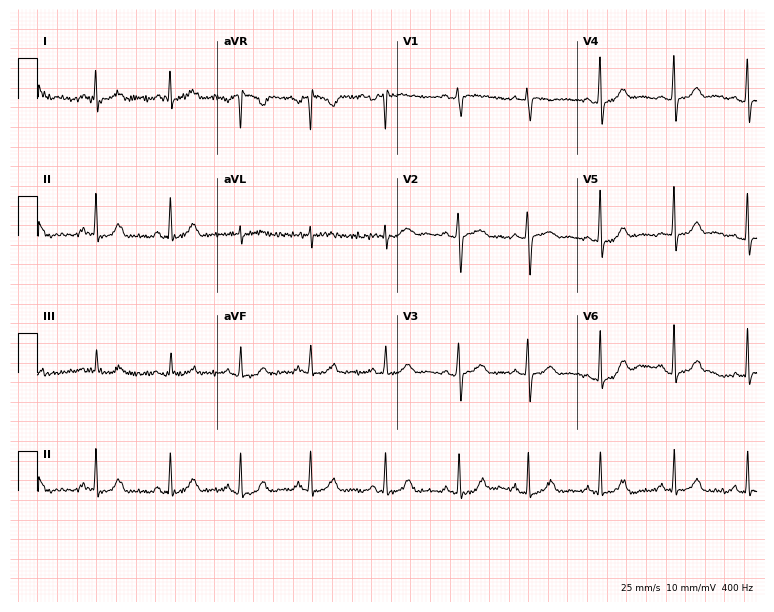
Electrocardiogram (7.3-second recording at 400 Hz), a 36-year-old female. Overall reading on record: normal ECG.